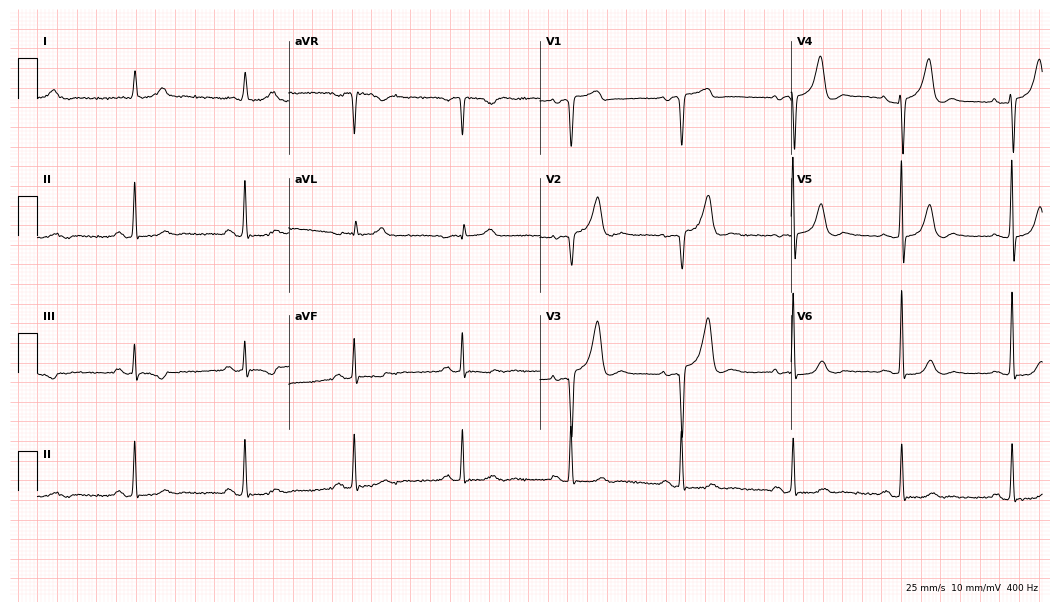
12-lead ECG (10.2-second recording at 400 Hz) from a woman, 85 years old. Screened for six findings — first-degree AV block, right bundle branch block, left bundle branch block, sinus bradycardia, atrial fibrillation, sinus tachycardia — none is recorded. Other findings, if any, are not listed.